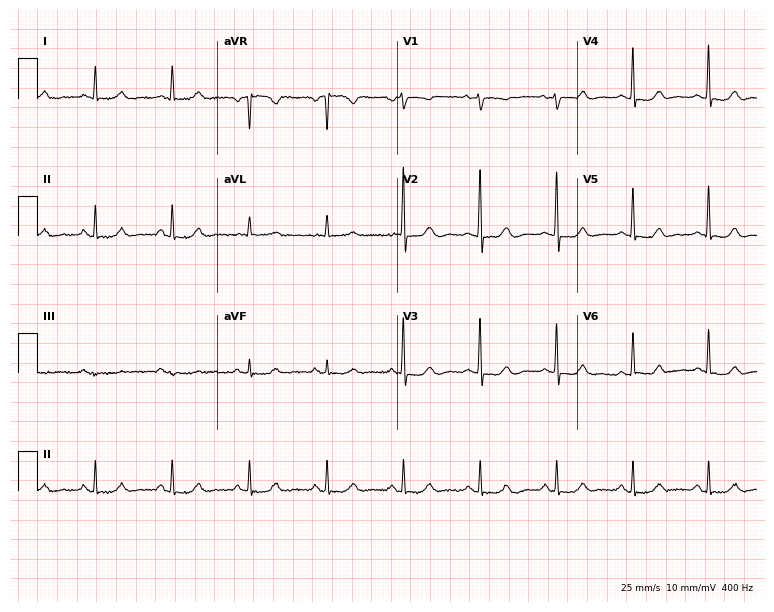
Resting 12-lead electrocardiogram. Patient: a woman, 74 years old. None of these six findings is recorded: first-degree AV block, right bundle branch block, left bundle branch block, sinus bradycardia, atrial fibrillation, sinus tachycardia. Only these six findings were labelled.